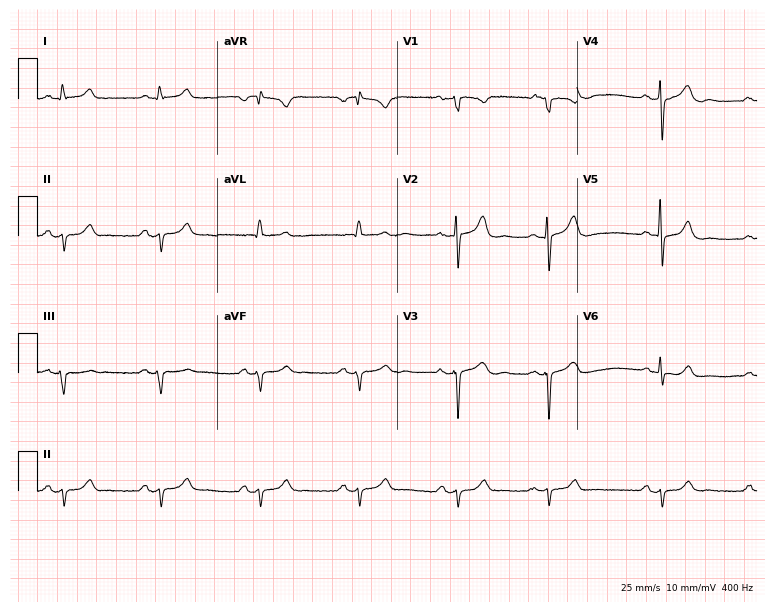
Standard 12-lead ECG recorded from a male patient, 70 years old (7.3-second recording at 400 Hz). None of these six findings is recorded: first-degree AV block, right bundle branch block, left bundle branch block, sinus bradycardia, atrial fibrillation, sinus tachycardia. Findings outside these six are not listed.